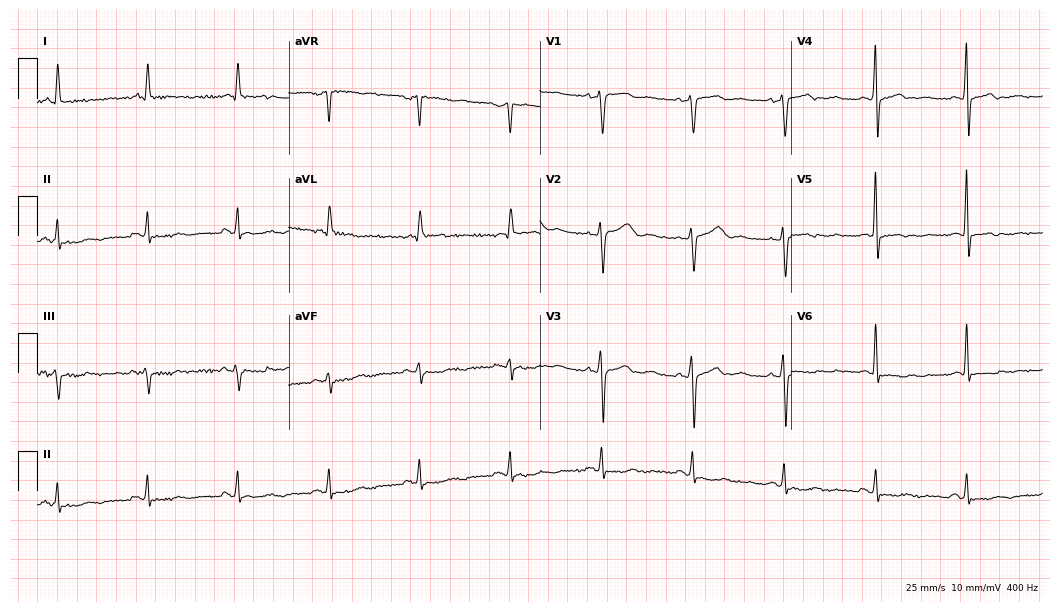
ECG (10.2-second recording at 400 Hz) — a 58-year-old female patient. Screened for six findings — first-degree AV block, right bundle branch block, left bundle branch block, sinus bradycardia, atrial fibrillation, sinus tachycardia — none is recorded.